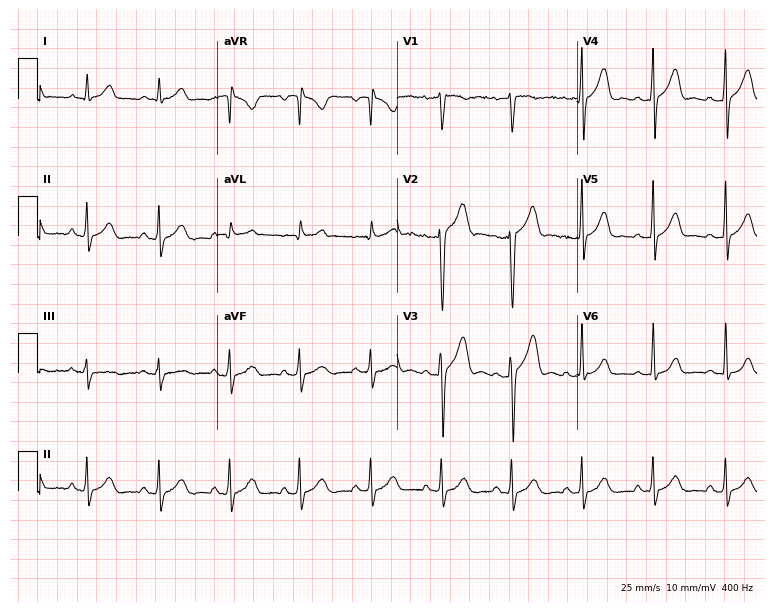
ECG — a male, 28 years old. Labelled as a normal ECG.